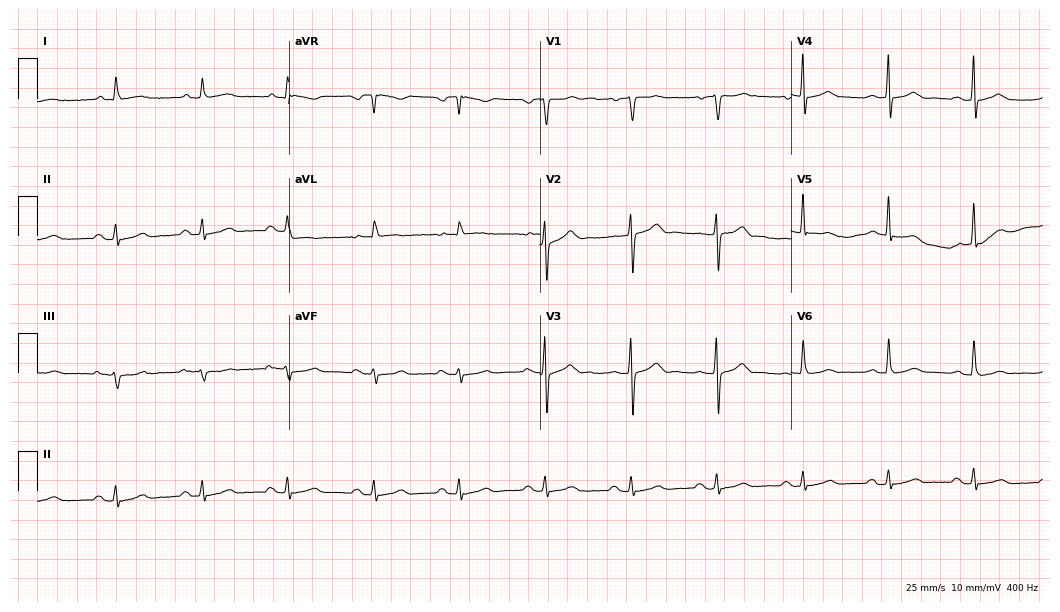
12-lead ECG from a male, 58 years old (10.2-second recording at 400 Hz). No first-degree AV block, right bundle branch block, left bundle branch block, sinus bradycardia, atrial fibrillation or sinus tachycardia recorded for this tracing. Other findings, if any, are not listed.